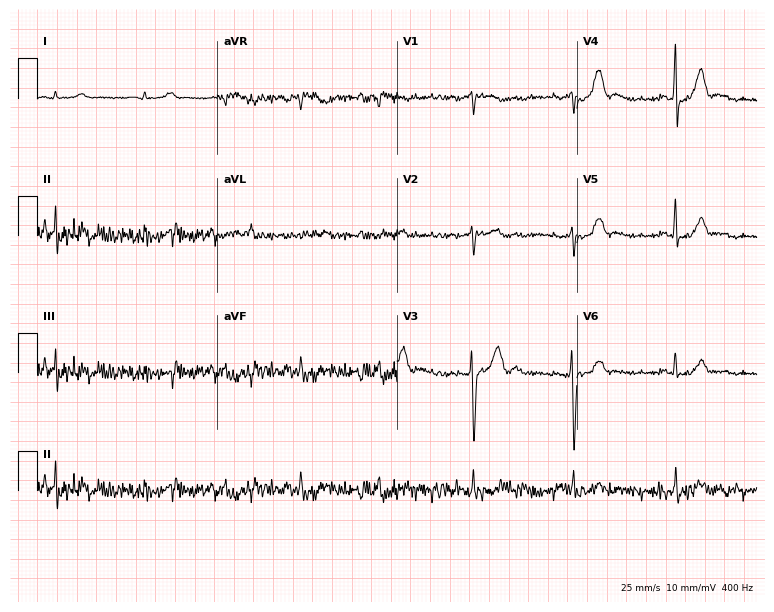
Electrocardiogram (7.3-second recording at 400 Hz), a 43-year-old female. Of the six screened findings (first-degree AV block, right bundle branch block, left bundle branch block, sinus bradycardia, atrial fibrillation, sinus tachycardia), none is recorded. Only these six findings were labelled.